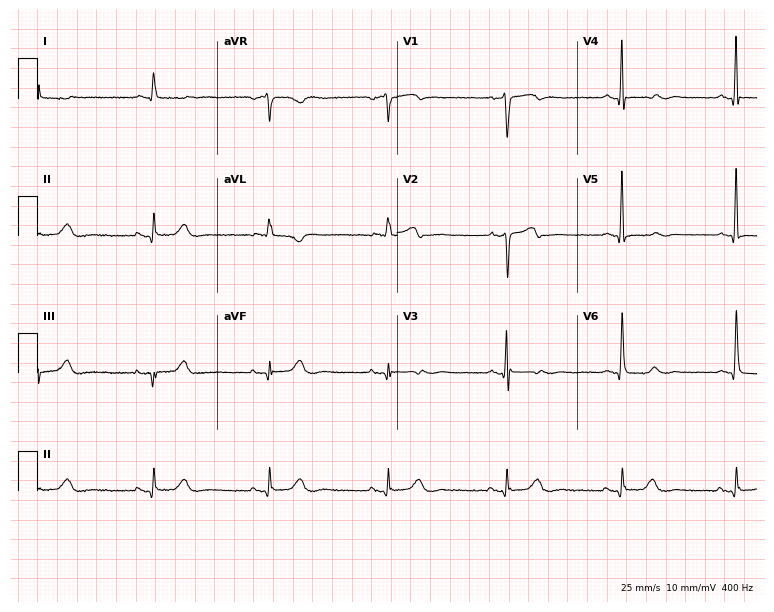
ECG — a 66-year-old male. Screened for six findings — first-degree AV block, right bundle branch block (RBBB), left bundle branch block (LBBB), sinus bradycardia, atrial fibrillation (AF), sinus tachycardia — none is recorded.